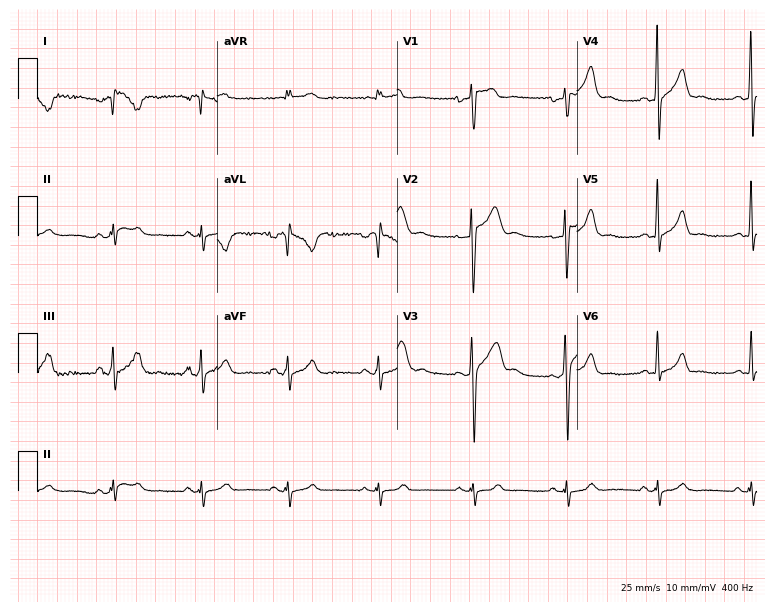
12-lead ECG (7.3-second recording at 400 Hz) from a male, 32 years old. Screened for six findings — first-degree AV block, right bundle branch block, left bundle branch block, sinus bradycardia, atrial fibrillation, sinus tachycardia — none is recorded.